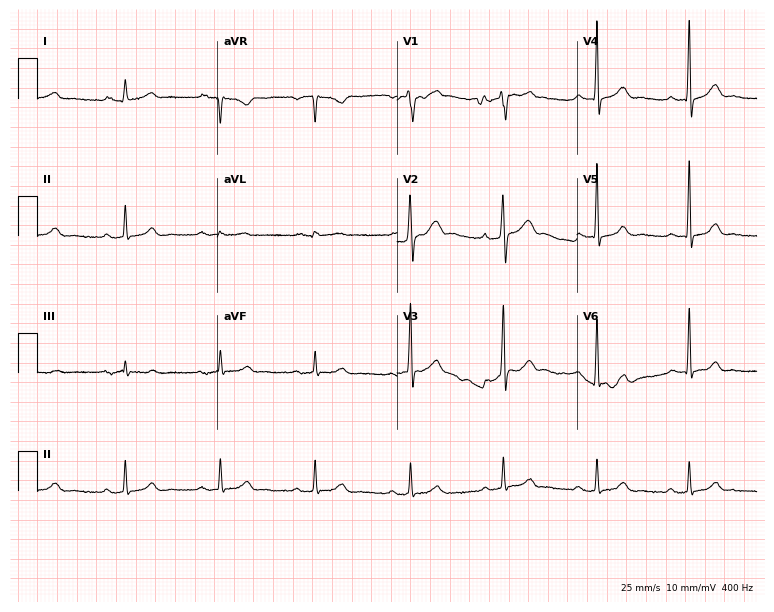
ECG (7.3-second recording at 400 Hz) — a male, 39 years old. Labelled as a normal ECG.